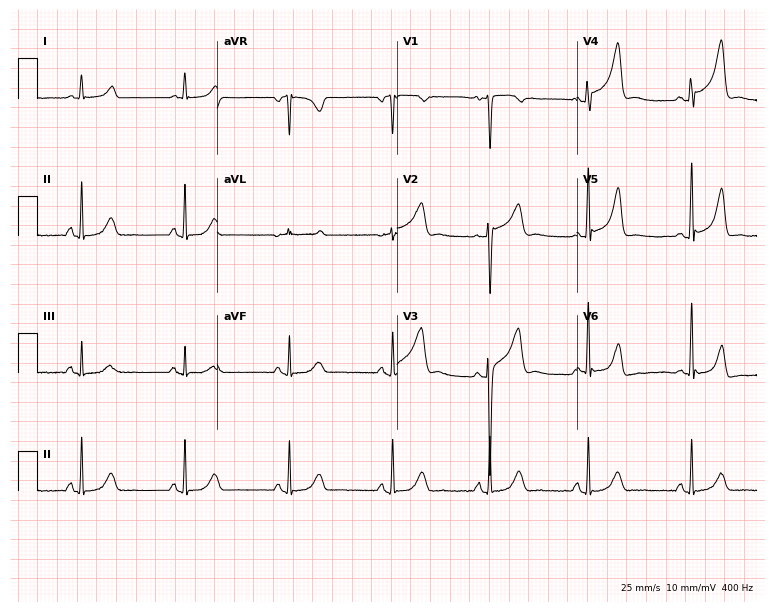
12-lead ECG from a 54-year-old woman. Recorded interpretation: within normal limits.